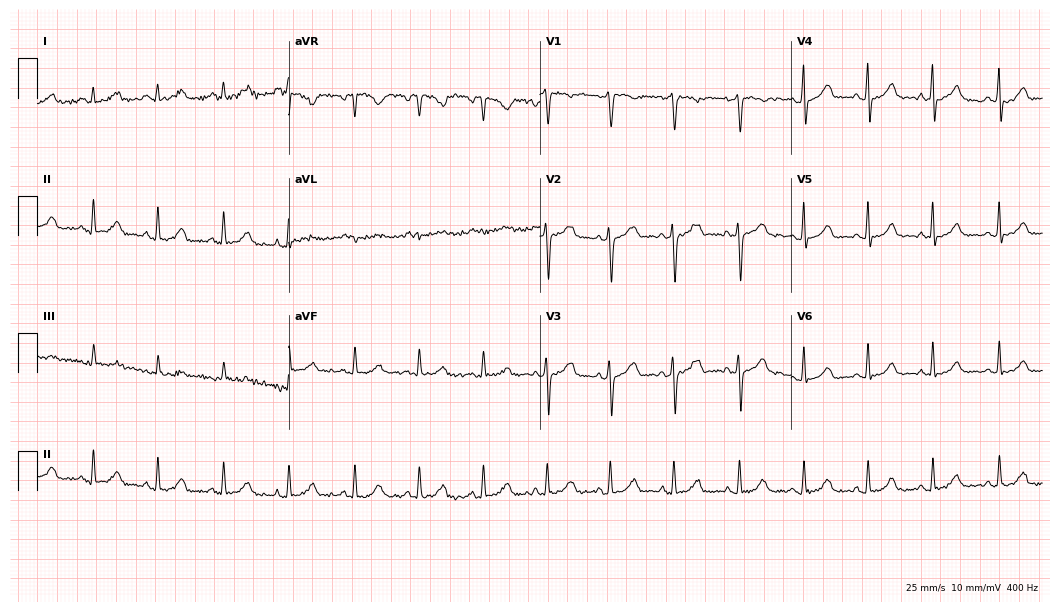
12-lead ECG from a 33-year-old female (10.2-second recording at 400 Hz). No first-degree AV block, right bundle branch block, left bundle branch block, sinus bradycardia, atrial fibrillation or sinus tachycardia recorded for this tracing.